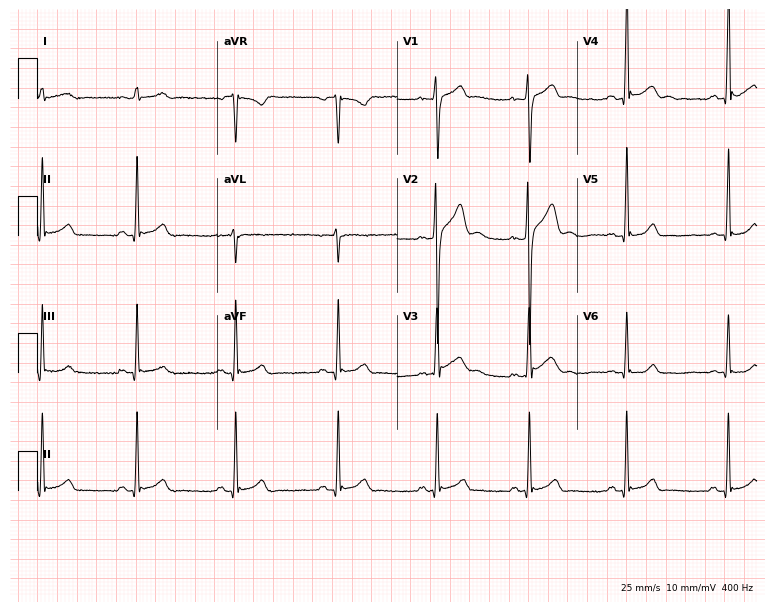
Standard 12-lead ECG recorded from a male patient, 22 years old. Read as a normal ECG.